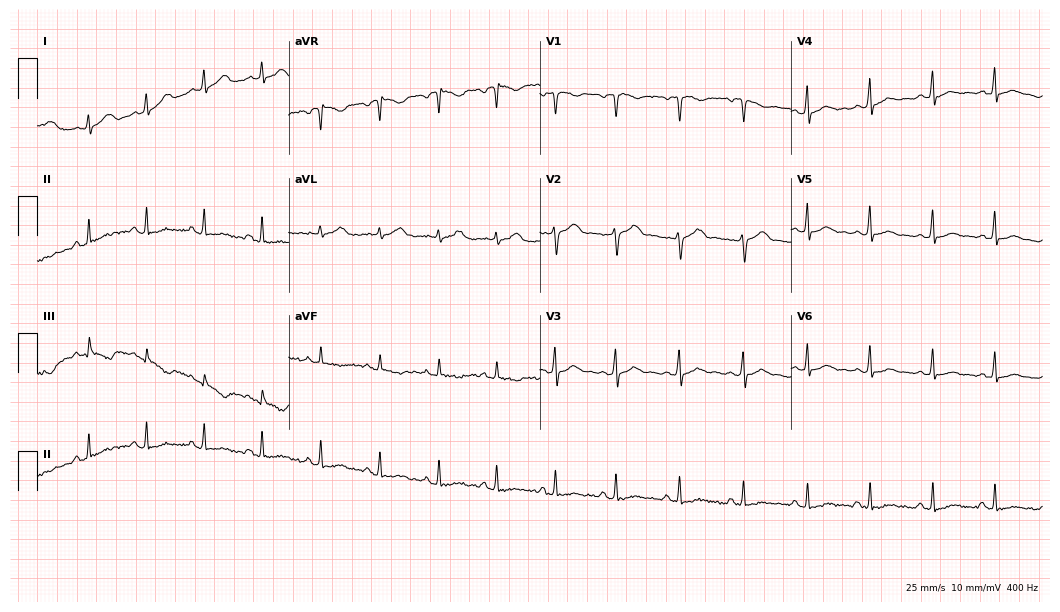
Electrocardiogram, a 33-year-old woman. Of the six screened findings (first-degree AV block, right bundle branch block, left bundle branch block, sinus bradycardia, atrial fibrillation, sinus tachycardia), none is recorded. Findings outside these six are not listed.